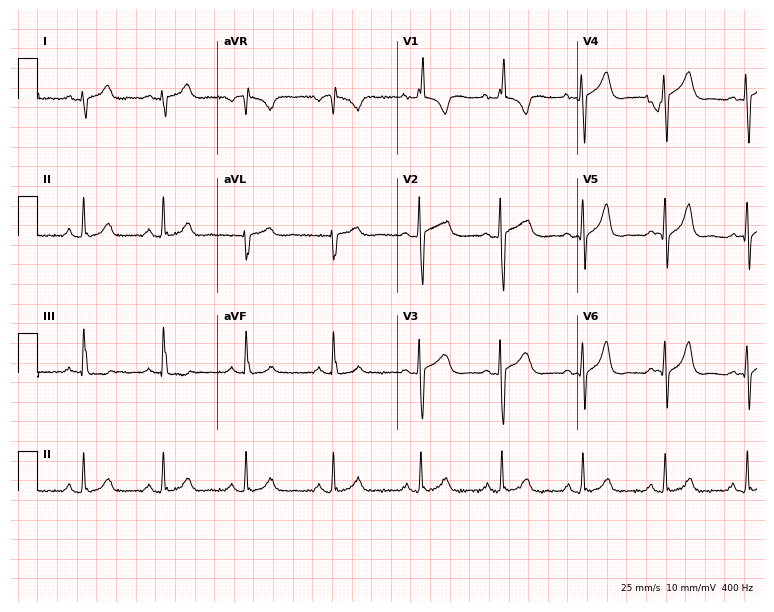
12-lead ECG (7.3-second recording at 400 Hz) from a 30-year-old male. Screened for six findings — first-degree AV block, right bundle branch block, left bundle branch block, sinus bradycardia, atrial fibrillation, sinus tachycardia — none is recorded. Findings outside these six are not listed.